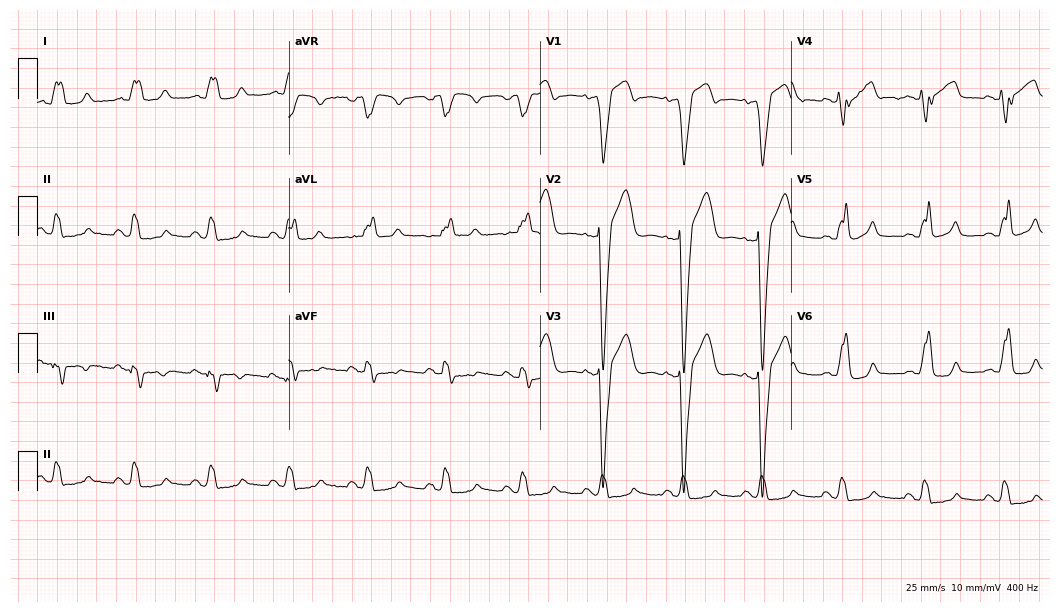
Resting 12-lead electrocardiogram (10.2-second recording at 400 Hz). Patient: a 64-year-old man. The tracing shows left bundle branch block.